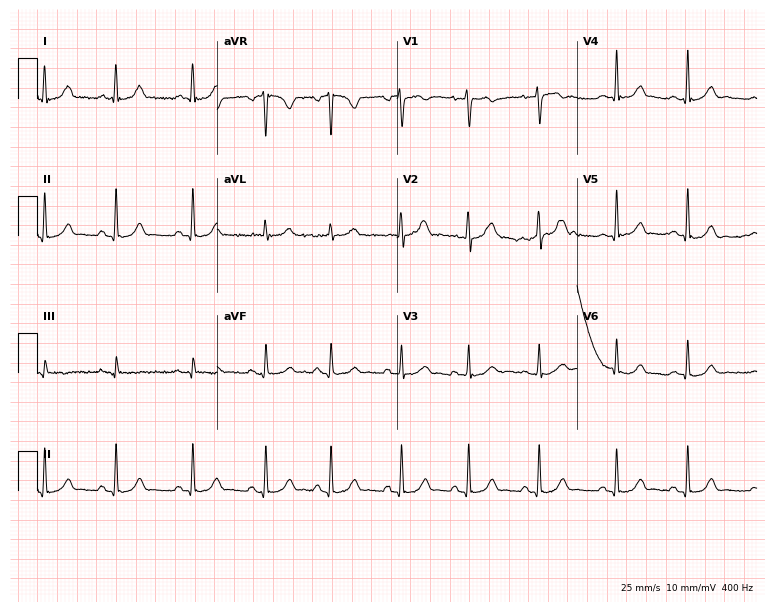
Electrocardiogram, a 27-year-old female. Overall reading on record: normal ECG.